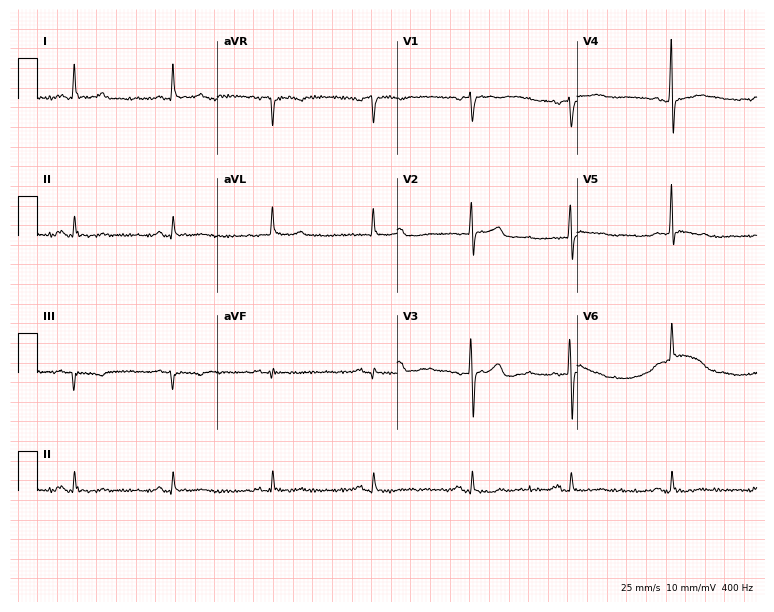
12-lead ECG from a female, 66 years old. Screened for six findings — first-degree AV block, right bundle branch block (RBBB), left bundle branch block (LBBB), sinus bradycardia, atrial fibrillation (AF), sinus tachycardia — none is recorded.